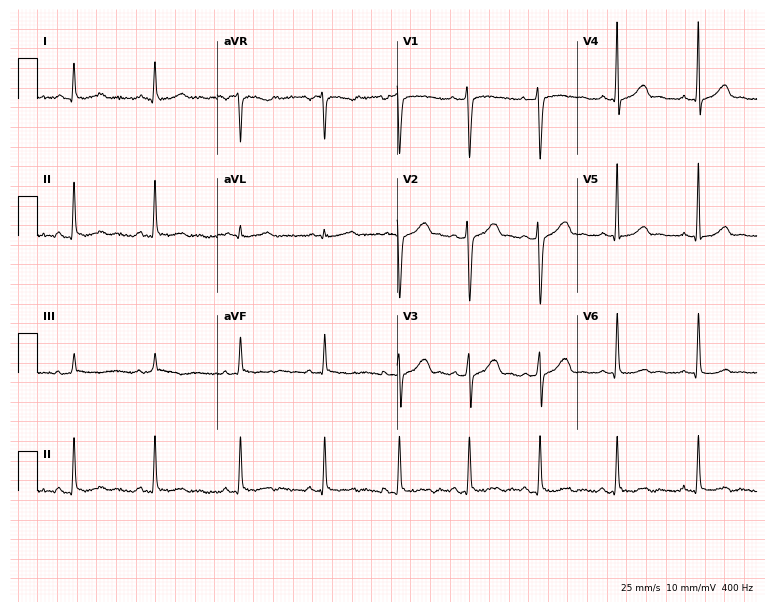
Electrocardiogram (7.3-second recording at 400 Hz), a female, 26 years old. Of the six screened findings (first-degree AV block, right bundle branch block (RBBB), left bundle branch block (LBBB), sinus bradycardia, atrial fibrillation (AF), sinus tachycardia), none is recorded.